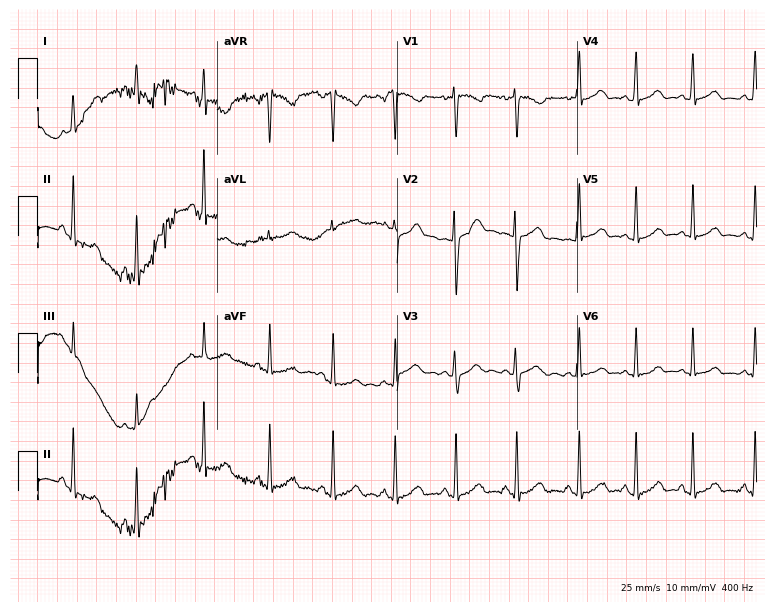
12-lead ECG from a female, 25 years old. No first-degree AV block, right bundle branch block, left bundle branch block, sinus bradycardia, atrial fibrillation or sinus tachycardia recorded for this tracing. Findings outside these six are not listed.